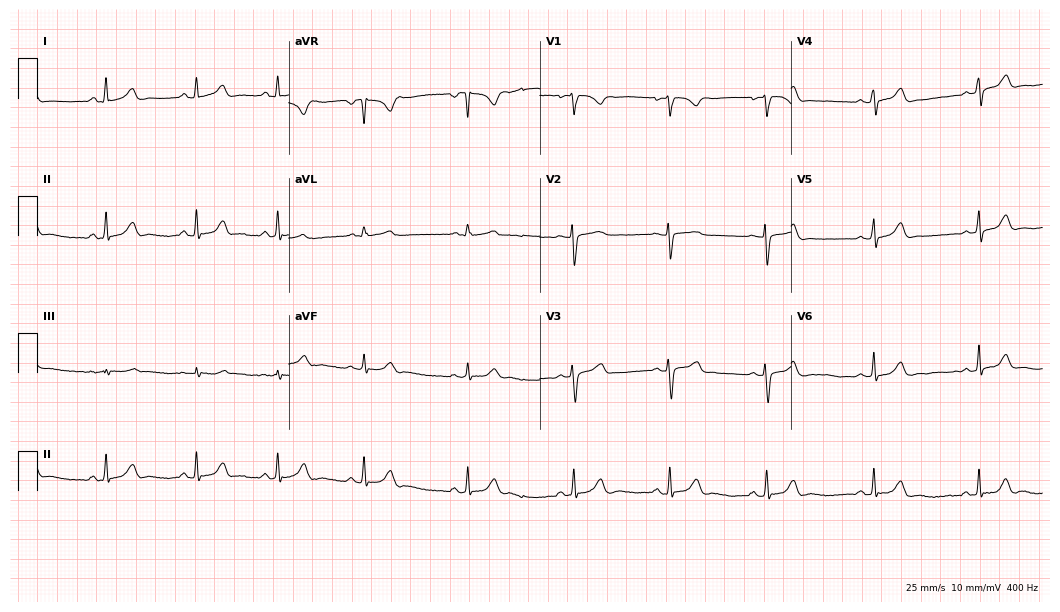
ECG — a female patient, 20 years old. Labelled as a normal ECG.